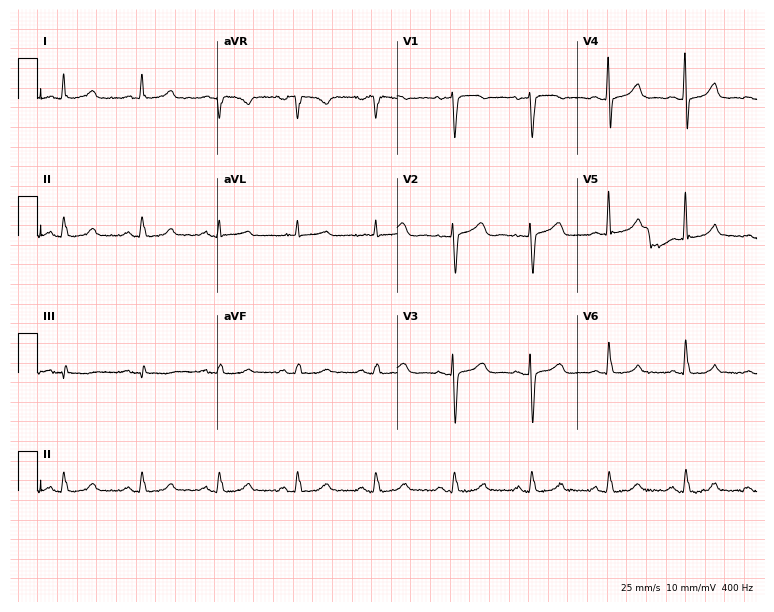
12-lead ECG from a 53-year-old female patient (7.3-second recording at 400 Hz). Recorded interpretation: within normal limits.